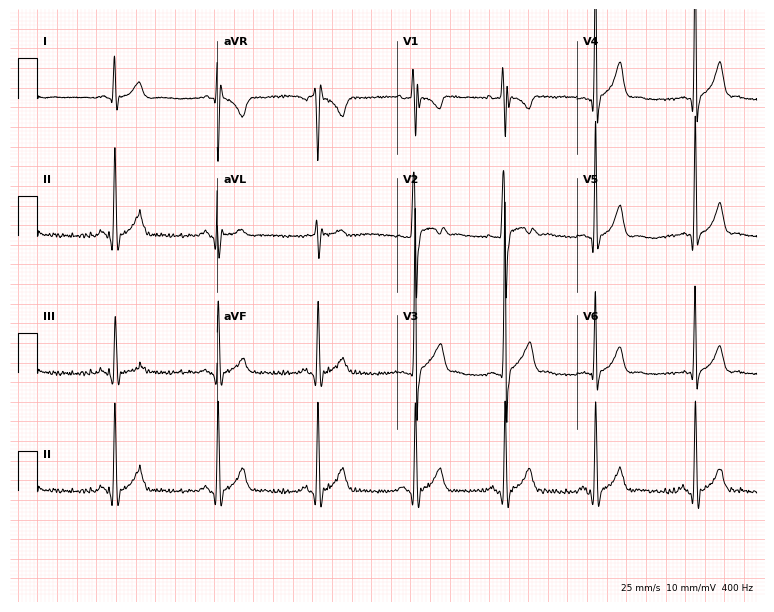
12-lead ECG from a 20-year-old male patient. Screened for six findings — first-degree AV block, right bundle branch block, left bundle branch block, sinus bradycardia, atrial fibrillation, sinus tachycardia — none is recorded.